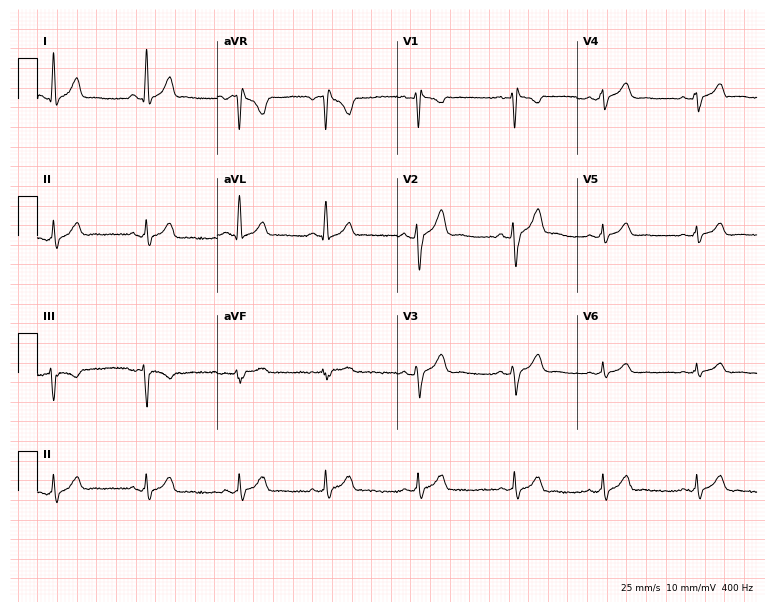
Electrocardiogram (7.3-second recording at 400 Hz), a male, 31 years old. Of the six screened findings (first-degree AV block, right bundle branch block (RBBB), left bundle branch block (LBBB), sinus bradycardia, atrial fibrillation (AF), sinus tachycardia), none is recorded.